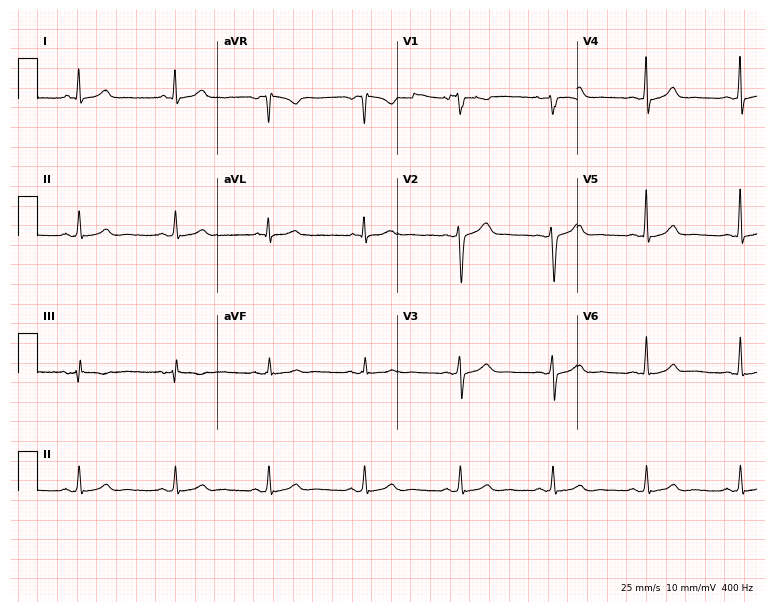
12-lead ECG from a woman, 36 years old. No first-degree AV block, right bundle branch block, left bundle branch block, sinus bradycardia, atrial fibrillation or sinus tachycardia recorded for this tracing. Findings outside these six are not listed.